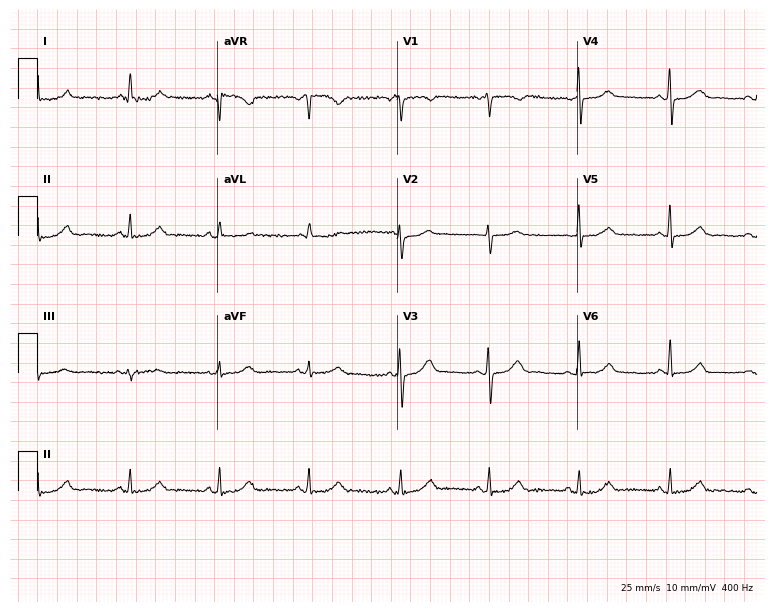
Electrocardiogram, a female, 49 years old. Overall reading on record: normal ECG.